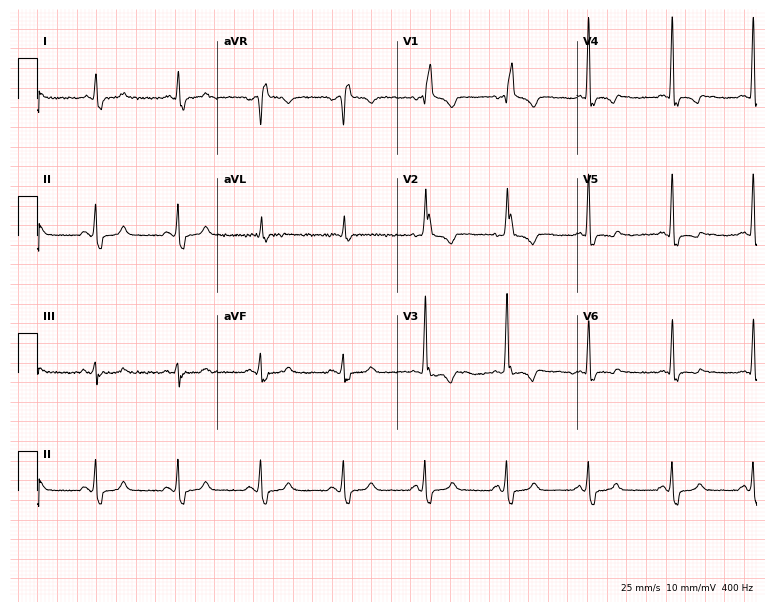
Standard 12-lead ECG recorded from a male patient, 65 years old. The tracing shows right bundle branch block (RBBB).